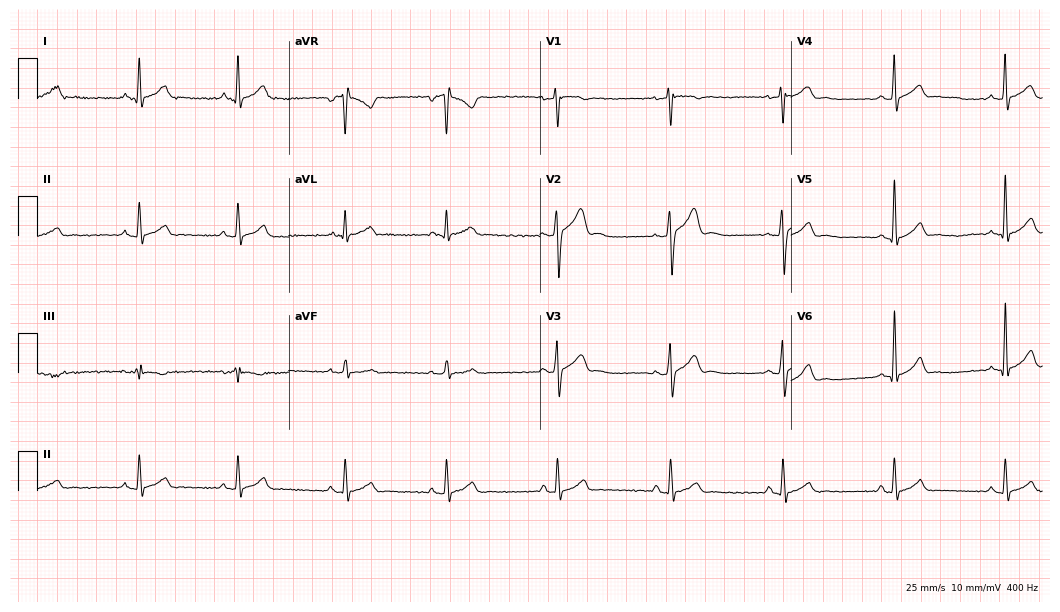
Resting 12-lead electrocardiogram (10.2-second recording at 400 Hz). Patient: a man, 25 years old. Read as a normal ECG.